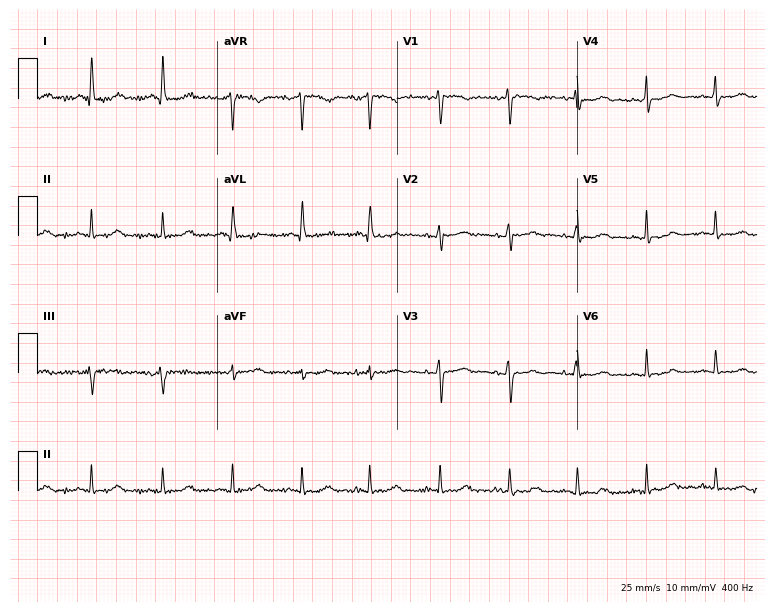
12-lead ECG from a female patient, 66 years old (7.3-second recording at 400 Hz). Recorded interpretation: within normal limits.